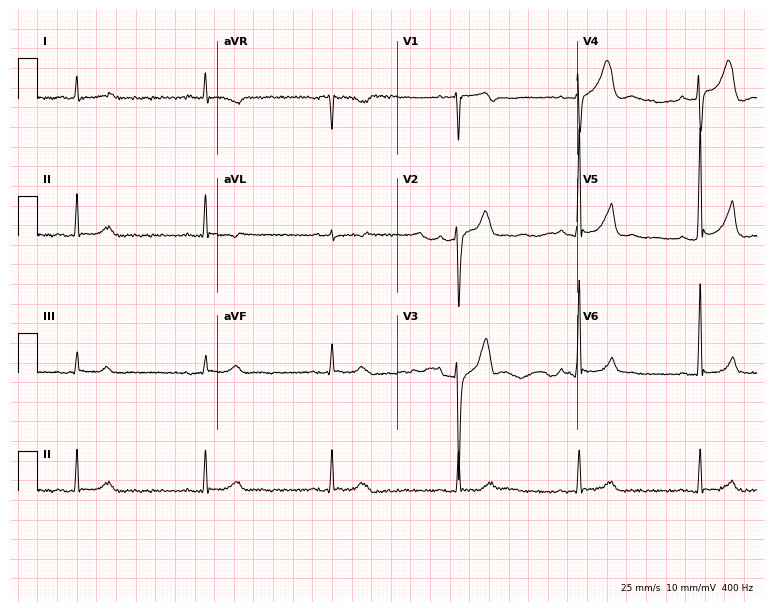
ECG (7.3-second recording at 400 Hz) — a man, 67 years old. Screened for six findings — first-degree AV block, right bundle branch block (RBBB), left bundle branch block (LBBB), sinus bradycardia, atrial fibrillation (AF), sinus tachycardia — none is recorded.